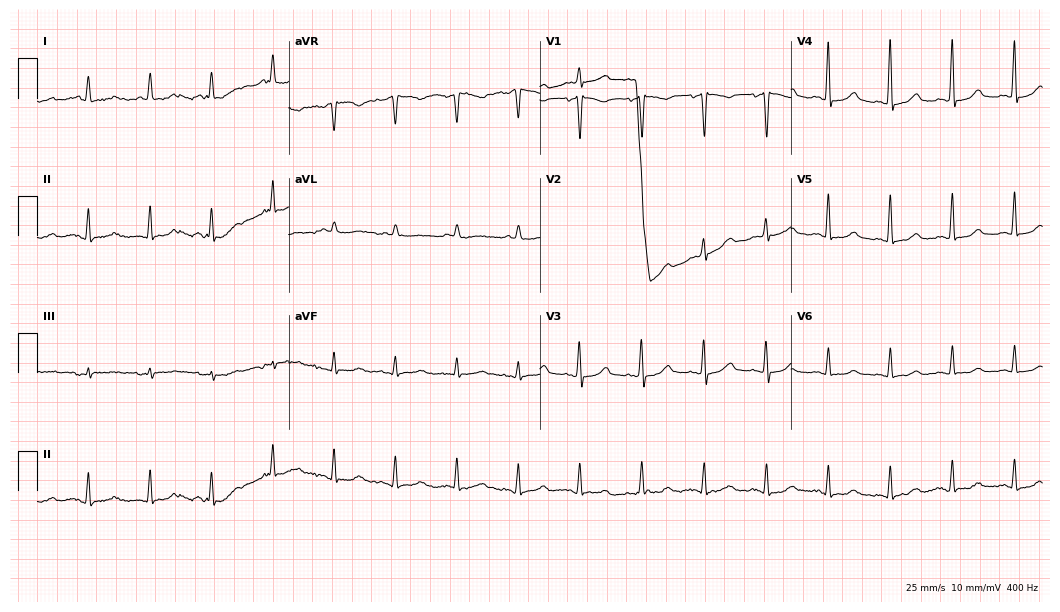
Standard 12-lead ECG recorded from a woman, 63 years old. None of these six findings is recorded: first-degree AV block, right bundle branch block, left bundle branch block, sinus bradycardia, atrial fibrillation, sinus tachycardia. Other findings, if any, are not listed.